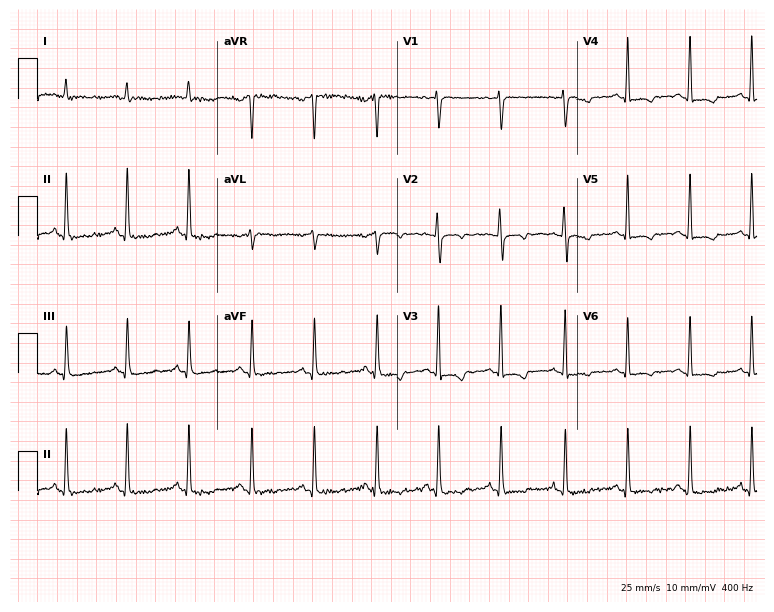
12-lead ECG from a 41-year-old female. Screened for six findings — first-degree AV block, right bundle branch block, left bundle branch block, sinus bradycardia, atrial fibrillation, sinus tachycardia — none is recorded.